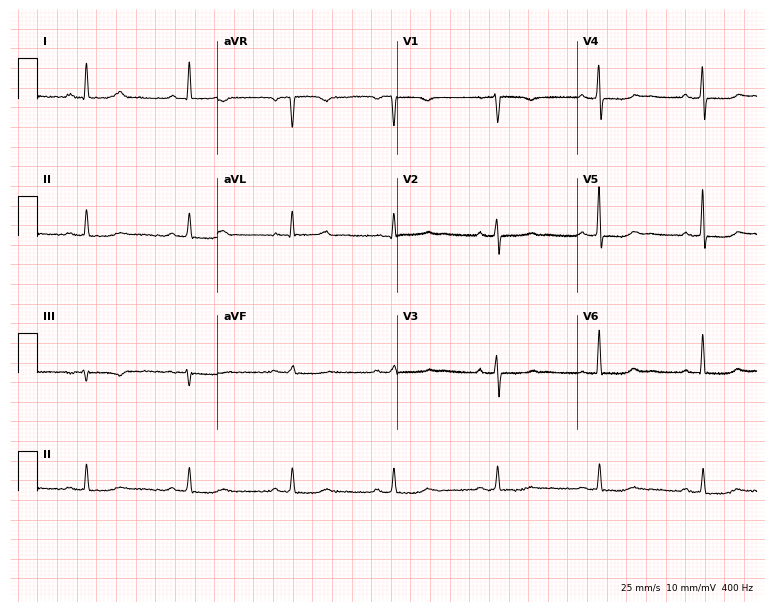
Standard 12-lead ECG recorded from a female, 56 years old. None of these six findings is recorded: first-degree AV block, right bundle branch block (RBBB), left bundle branch block (LBBB), sinus bradycardia, atrial fibrillation (AF), sinus tachycardia. Findings outside these six are not listed.